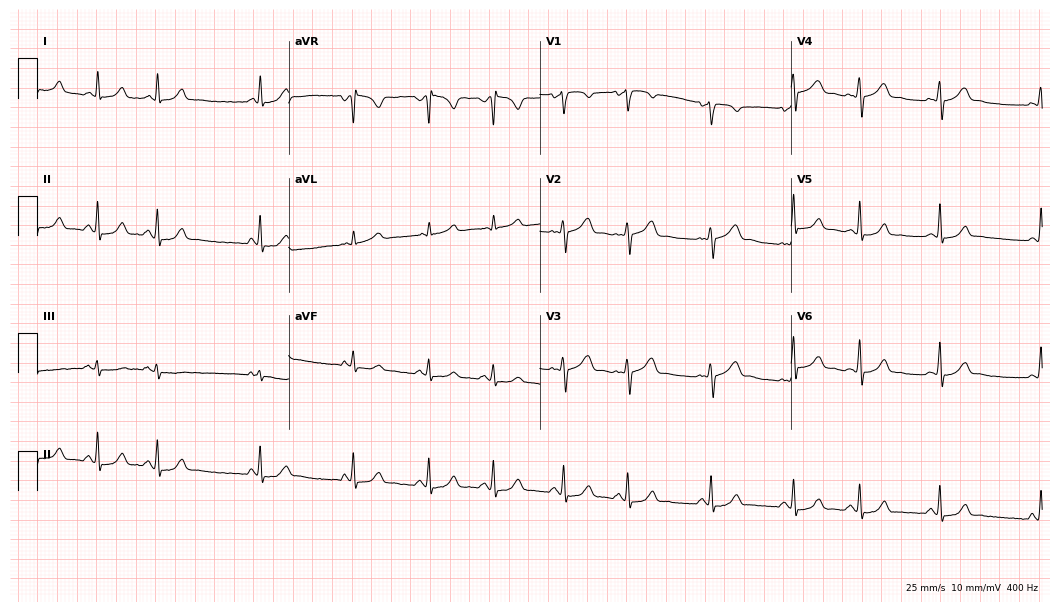
ECG (10.2-second recording at 400 Hz) — a woman, 25 years old. Screened for six findings — first-degree AV block, right bundle branch block, left bundle branch block, sinus bradycardia, atrial fibrillation, sinus tachycardia — none is recorded. Only these six findings were labelled.